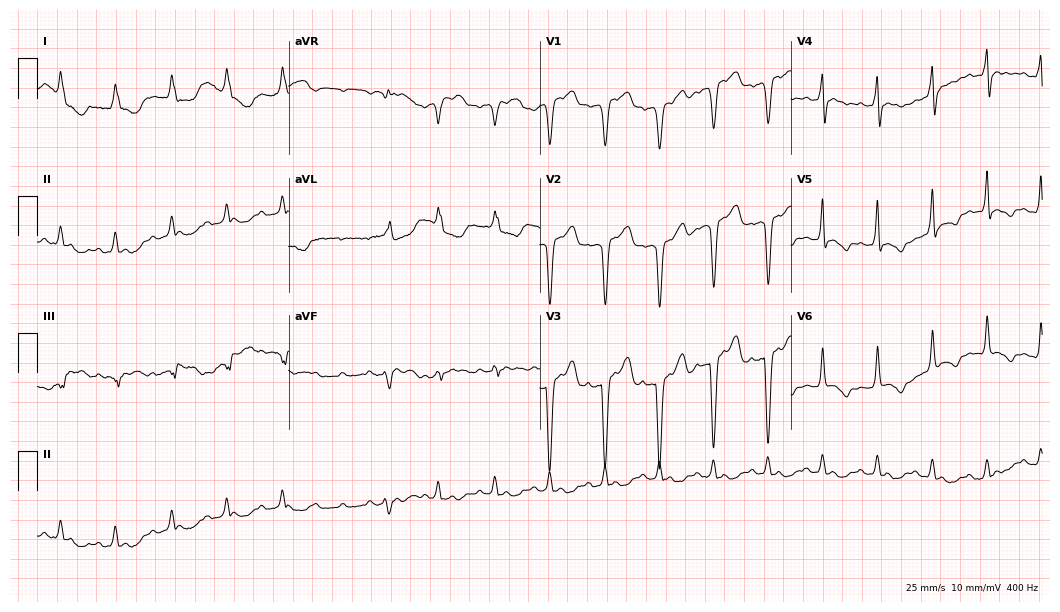
ECG (10.2-second recording at 400 Hz) — an 85-year-old female patient. Screened for six findings — first-degree AV block, right bundle branch block (RBBB), left bundle branch block (LBBB), sinus bradycardia, atrial fibrillation (AF), sinus tachycardia — none is recorded. Only these six findings were labelled.